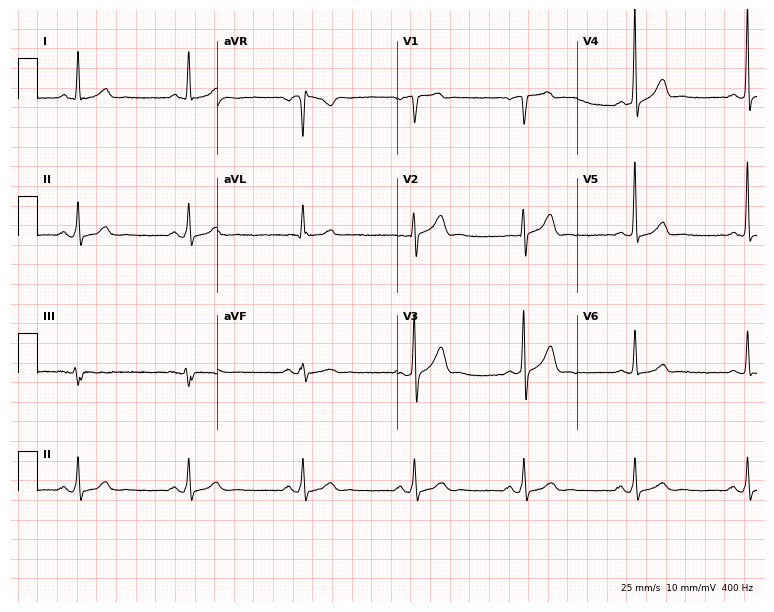
12-lead ECG from a 61-year-old male patient. Labelled as a normal ECG.